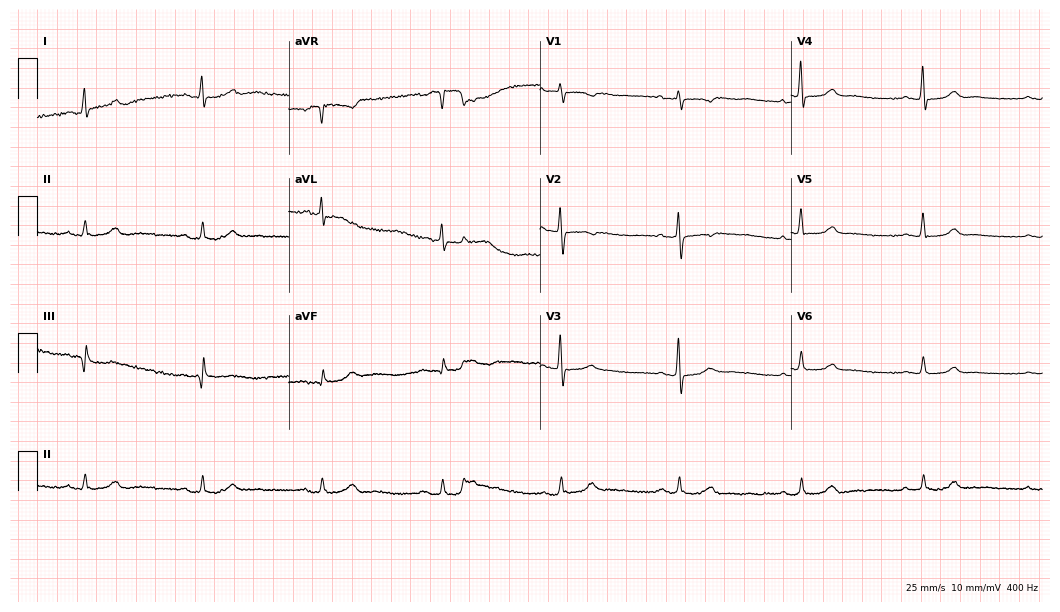
Resting 12-lead electrocardiogram. Patient: a 77-year-old female. The tracing shows sinus bradycardia (a sinus rate of 50 beats per minute or less).